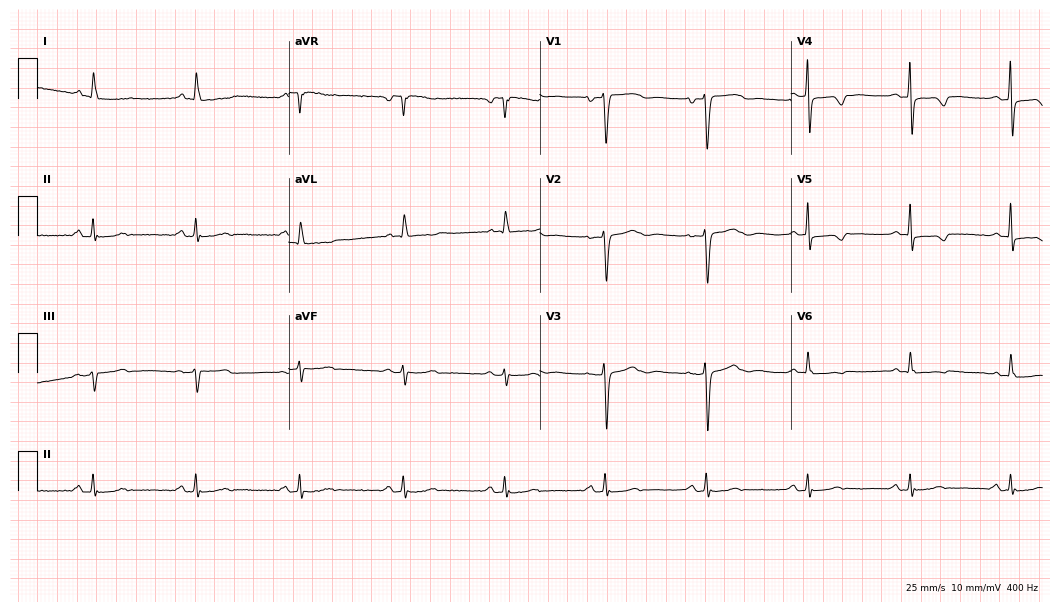
Electrocardiogram (10.2-second recording at 400 Hz), a woman, 62 years old. Of the six screened findings (first-degree AV block, right bundle branch block (RBBB), left bundle branch block (LBBB), sinus bradycardia, atrial fibrillation (AF), sinus tachycardia), none is recorded.